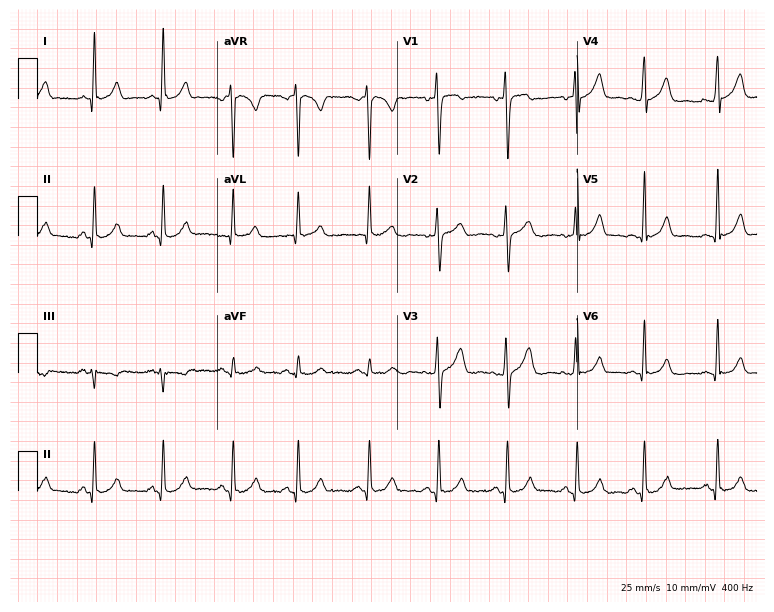
ECG (7.3-second recording at 400 Hz) — a female, 23 years old. Labelled as a normal ECG.